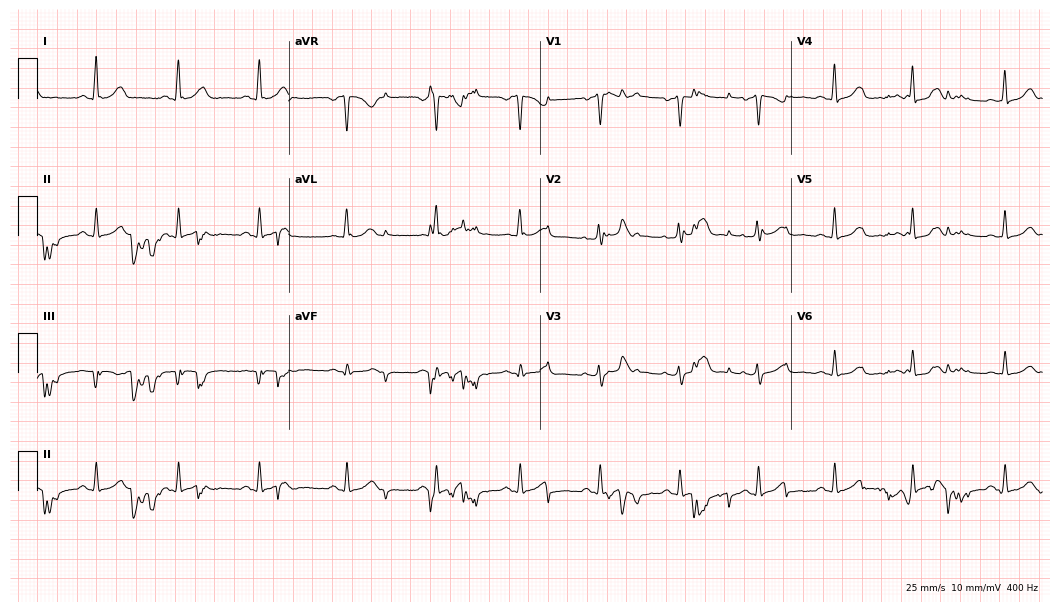
12-lead ECG from a 40-year-old female. No first-degree AV block, right bundle branch block, left bundle branch block, sinus bradycardia, atrial fibrillation or sinus tachycardia recorded for this tracing.